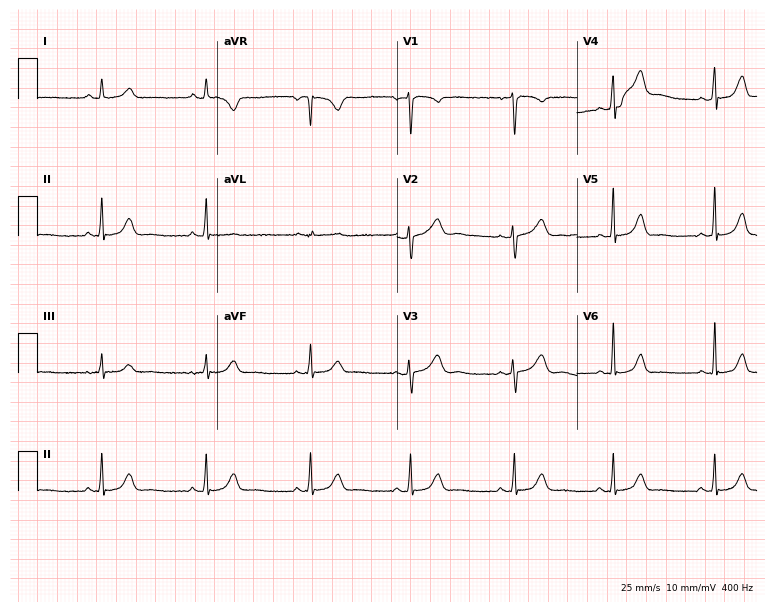
Standard 12-lead ECG recorded from a female, 29 years old. None of these six findings is recorded: first-degree AV block, right bundle branch block, left bundle branch block, sinus bradycardia, atrial fibrillation, sinus tachycardia. Findings outside these six are not listed.